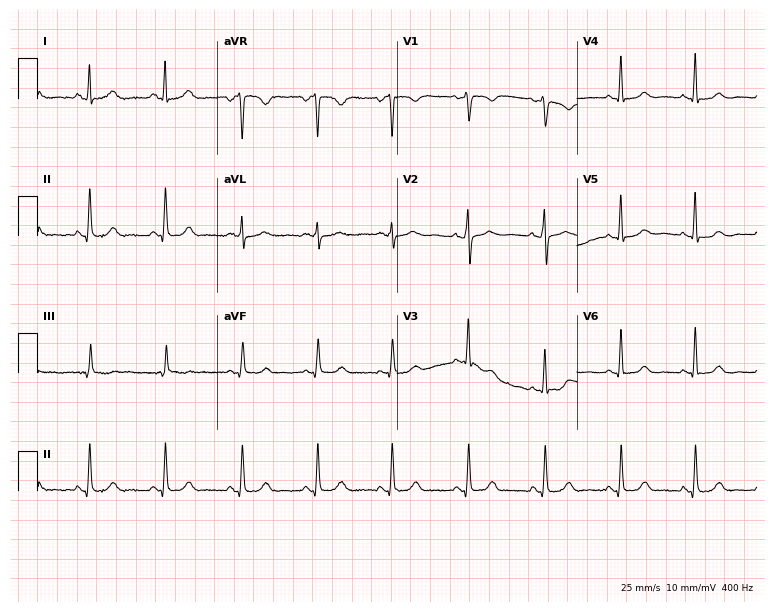
12-lead ECG from a 42-year-old woman. No first-degree AV block, right bundle branch block (RBBB), left bundle branch block (LBBB), sinus bradycardia, atrial fibrillation (AF) or sinus tachycardia recorded for this tracing.